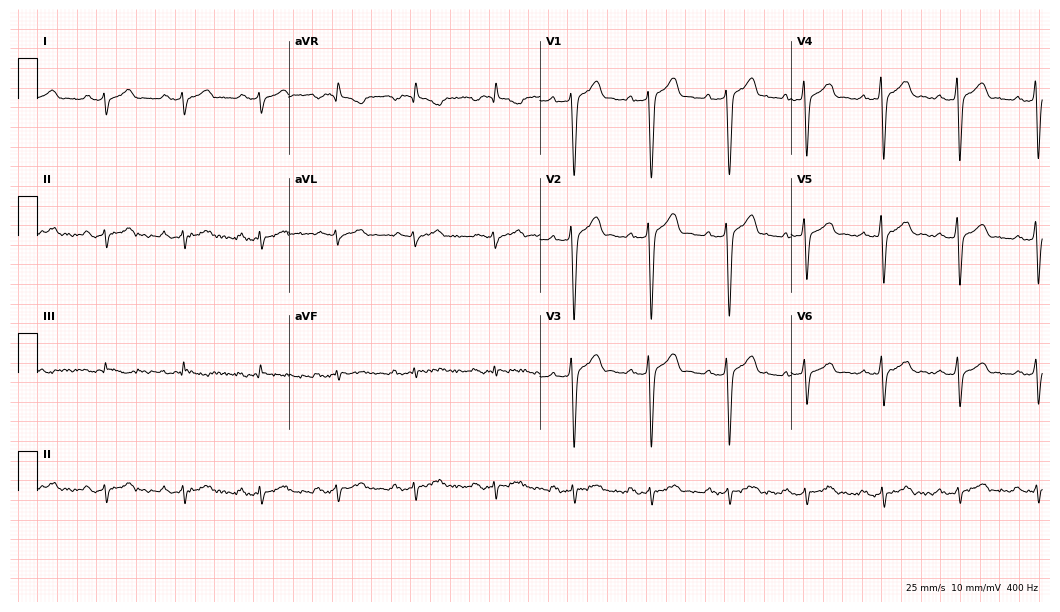
12-lead ECG (10.2-second recording at 400 Hz) from a 42-year-old male. Screened for six findings — first-degree AV block, right bundle branch block, left bundle branch block, sinus bradycardia, atrial fibrillation, sinus tachycardia — none is recorded.